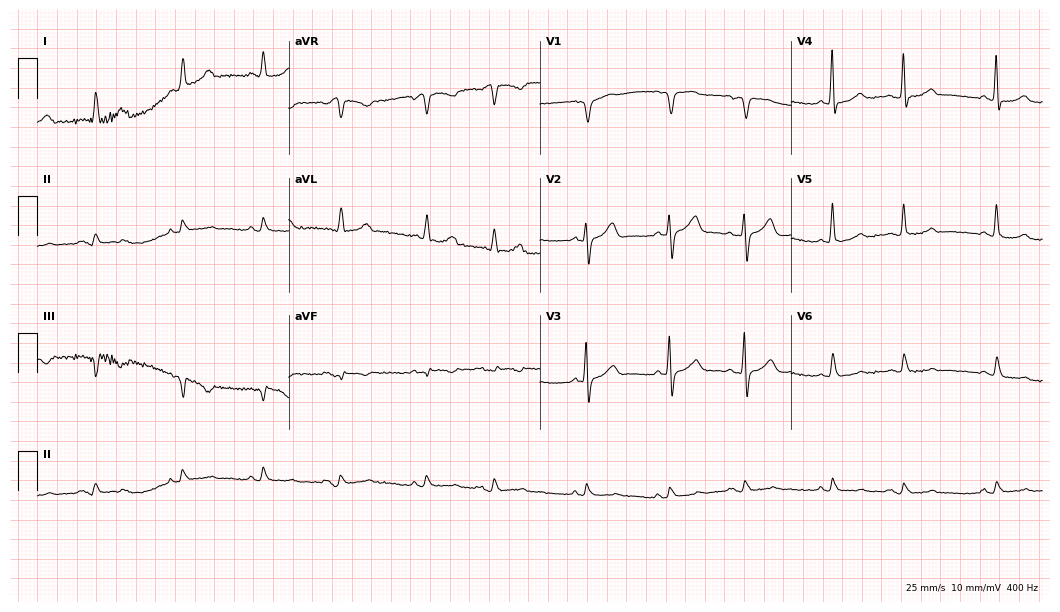
ECG — a 69-year-old female. Screened for six findings — first-degree AV block, right bundle branch block (RBBB), left bundle branch block (LBBB), sinus bradycardia, atrial fibrillation (AF), sinus tachycardia — none is recorded.